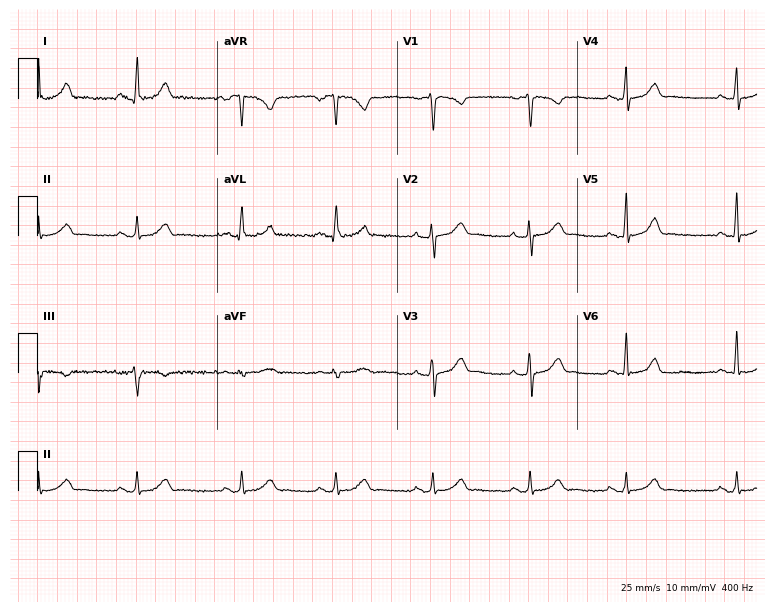
12-lead ECG from a 31-year-old female. Recorded interpretation: within normal limits.